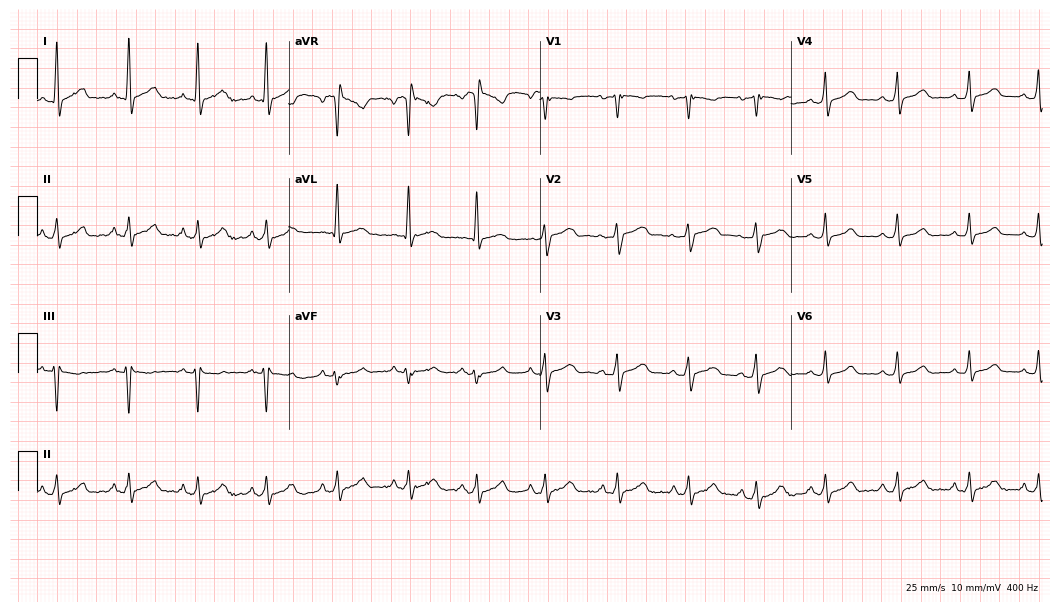
Standard 12-lead ECG recorded from a female patient, 40 years old (10.2-second recording at 400 Hz). Read as a normal ECG.